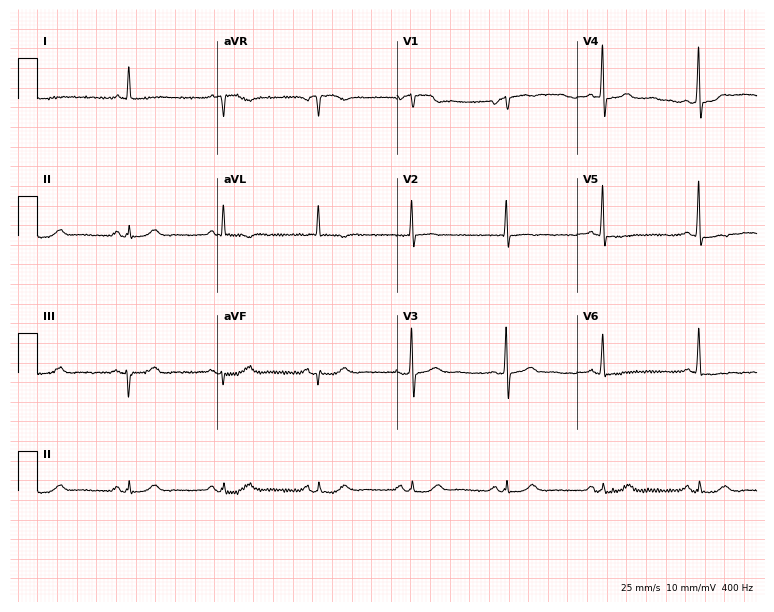
ECG (7.3-second recording at 400 Hz) — an 81-year-old male patient. Screened for six findings — first-degree AV block, right bundle branch block (RBBB), left bundle branch block (LBBB), sinus bradycardia, atrial fibrillation (AF), sinus tachycardia — none is recorded. Only these six findings were labelled.